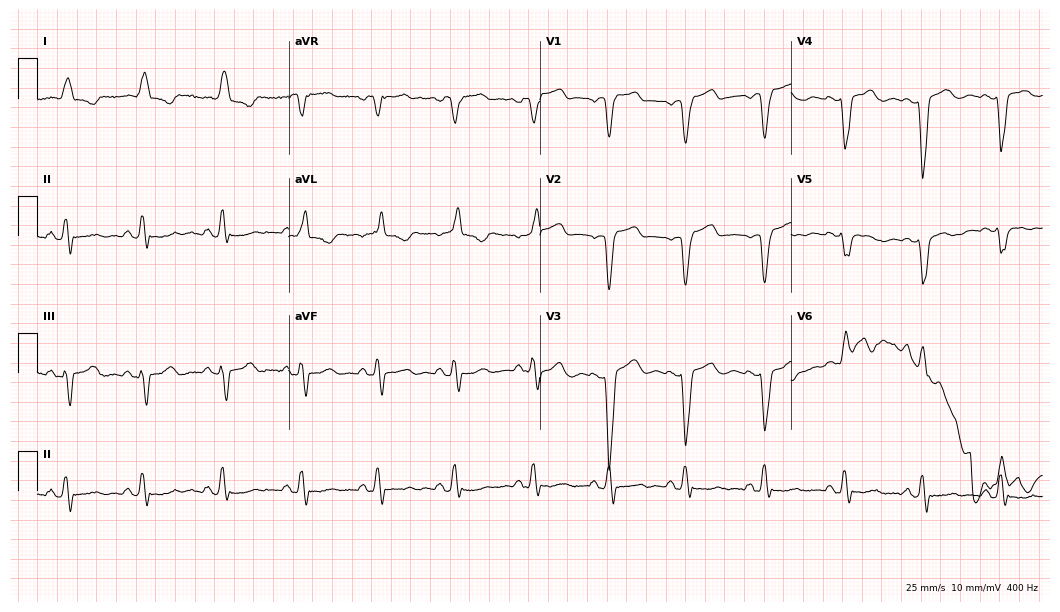
ECG (10.2-second recording at 400 Hz) — a female, 65 years old. Findings include left bundle branch block.